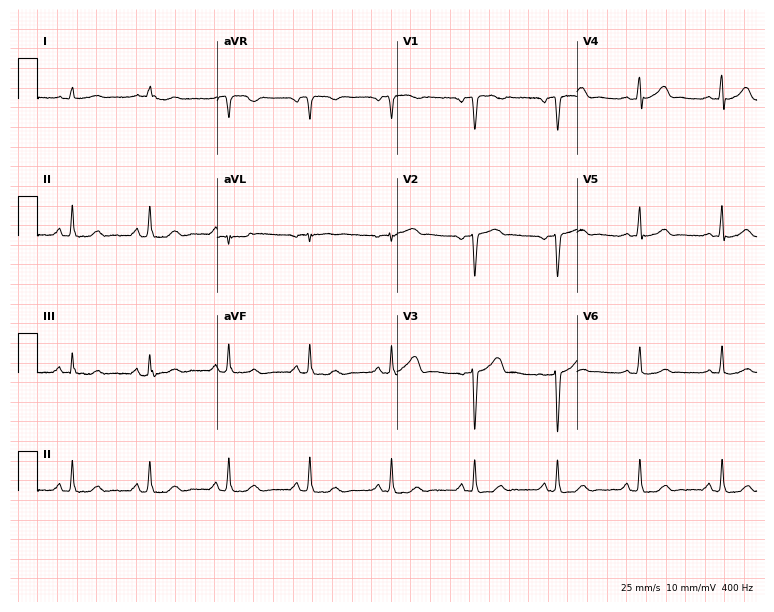
Resting 12-lead electrocardiogram. Patient: a man, 63 years old. None of these six findings is recorded: first-degree AV block, right bundle branch block, left bundle branch block, sinus bradycardia, atrial fibrillation, sinus tachycardia. Other findings, if any, are not listed.